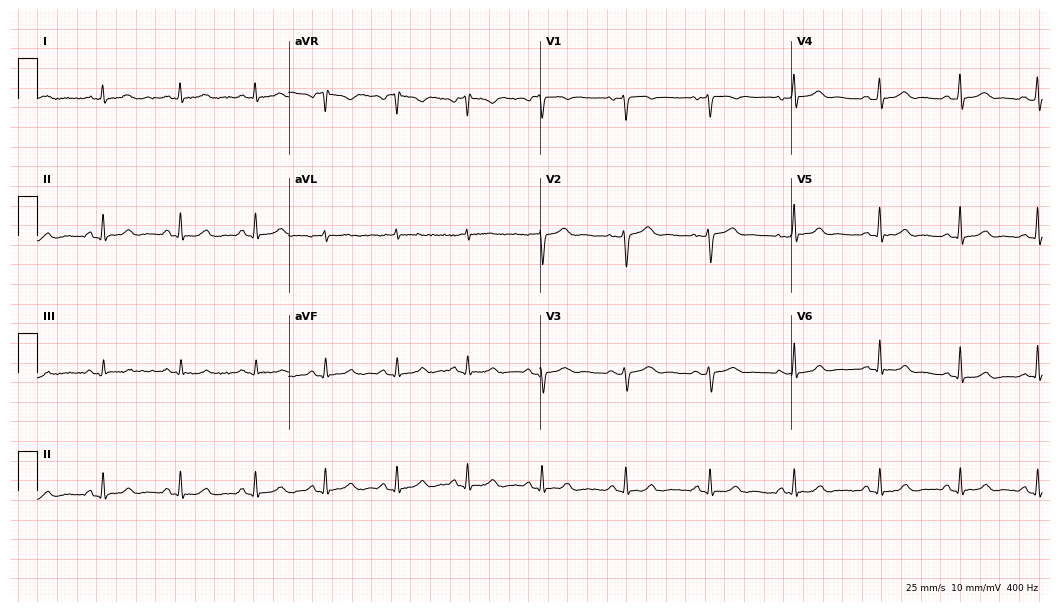
Electrocardiogram, a woman, 28 years old. Overall reading on record: normal ECG.